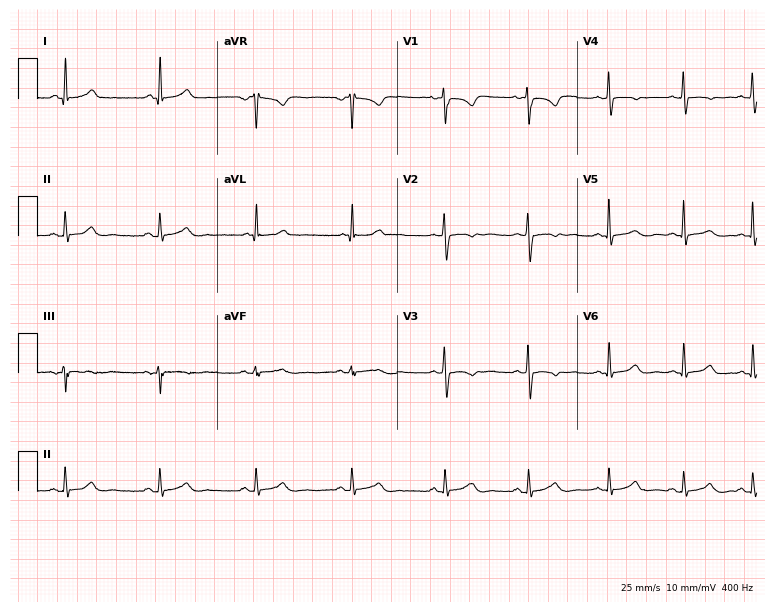
Standard 12-lead ECG recorded from a woman, 39 years old (7.3-second recording at 400 Hz). None of these six findings is recorded: first-degree AV block, right bundle branch block, left bundle branch block, sinus bradycardia, atrial fibrillation, sinus tachycardia. Only these six findings were labelled.